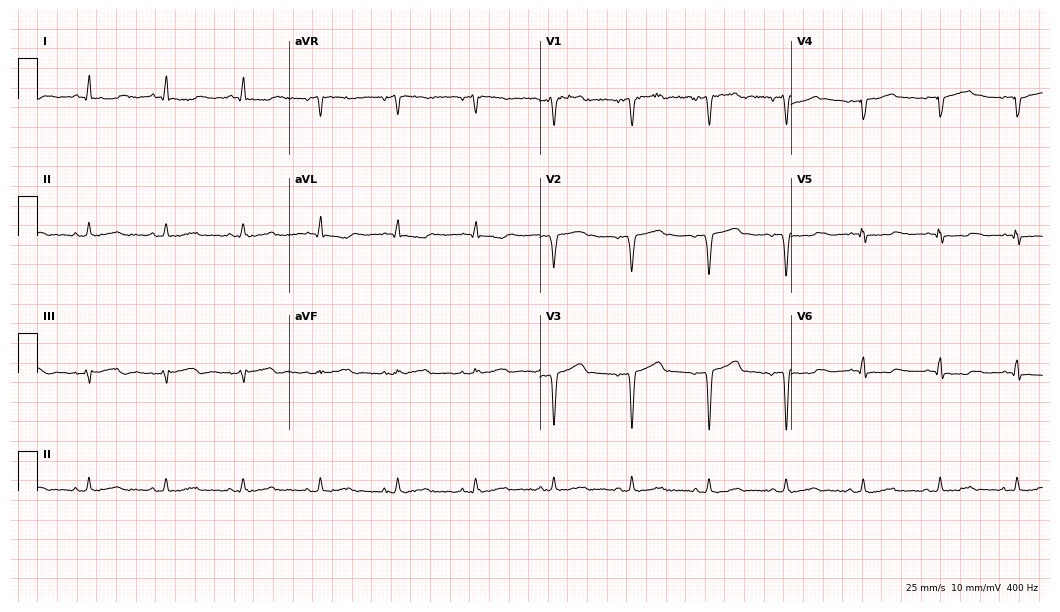
ECG (10.2-second recording at 400 Hz) — a 64-year-old male patient. Screened for six findings — first-degree AV block, right bundle branch block, left bundle branch block, sinus bradycardia, atrial fibrillation, sinus tachycardia — none is recorded.